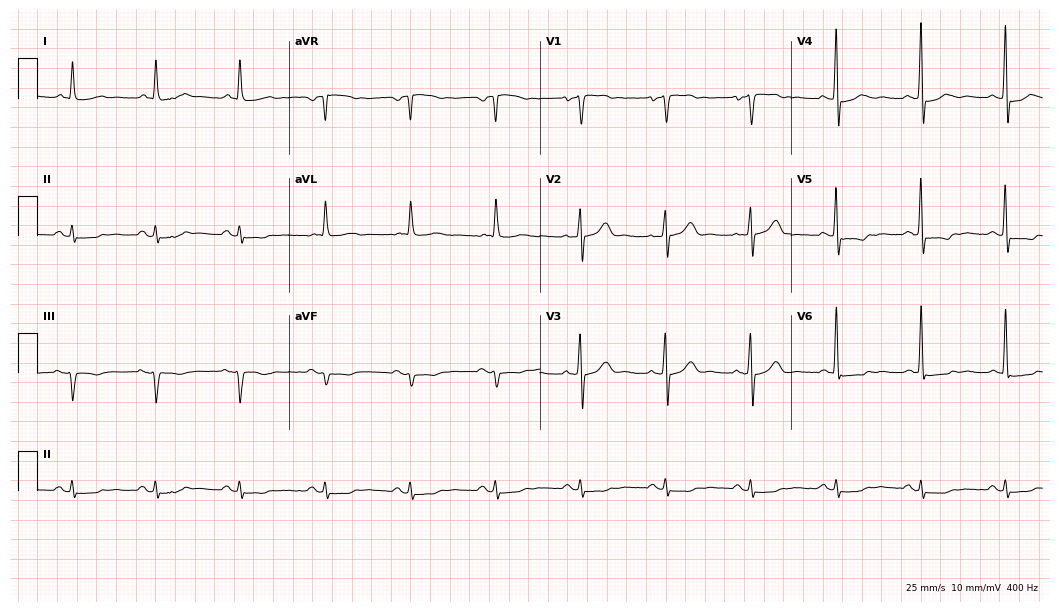
Electrocardiogram, a man, 80 years old. Of the six screened findings (first-degree AV block, right bundle branch block (RBBB), left bundle branch block (LBBB), sinus bradycardia, atrial fibrillation (AF), sinus tachycardia), none is recorded.